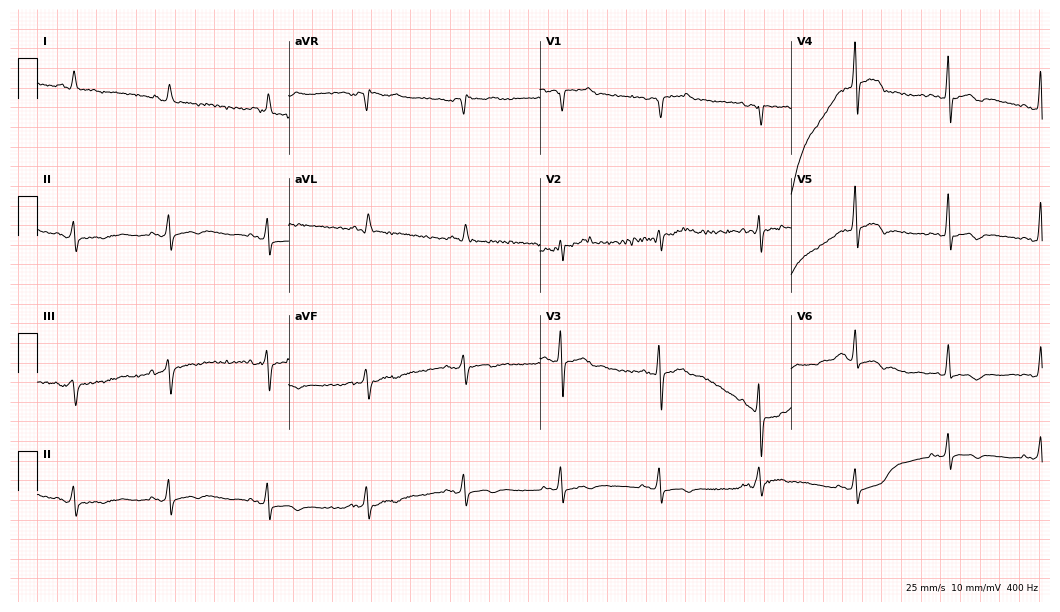
Resting 12-lead electrocardiogram. Patient: a male, 66 years old. None of these six findings is recorded: first-degree AV block, right bundle branch block, left bundle branch block, sinus bradycardia, atrial fibrillation, sinus tachycardia. Other findings, if any, are not listed.